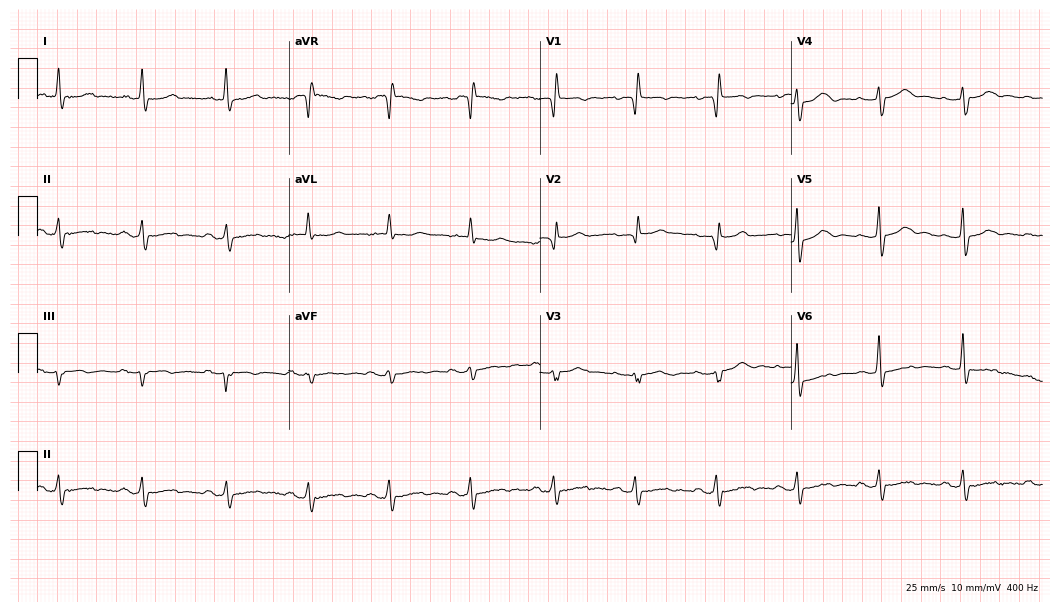
Electrocardiogram, a female, 75 years old. Of the six screened findings (first-degree AV block, right bundle branch block, left bundle branch block, sinus bradycardia, atrial fibrillation, sinus tachycardia), none is recorded.